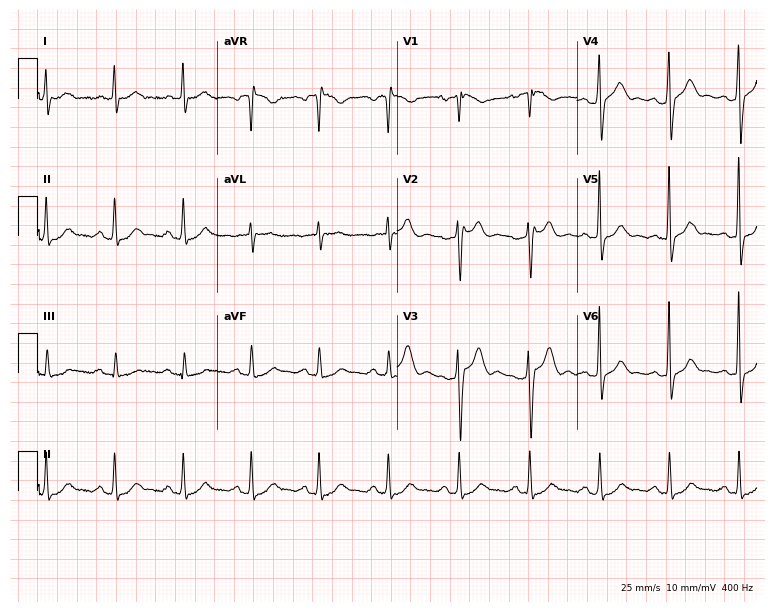
12-lead ECG from a 56-year-old male. Recorded interpretation: within normal limits.